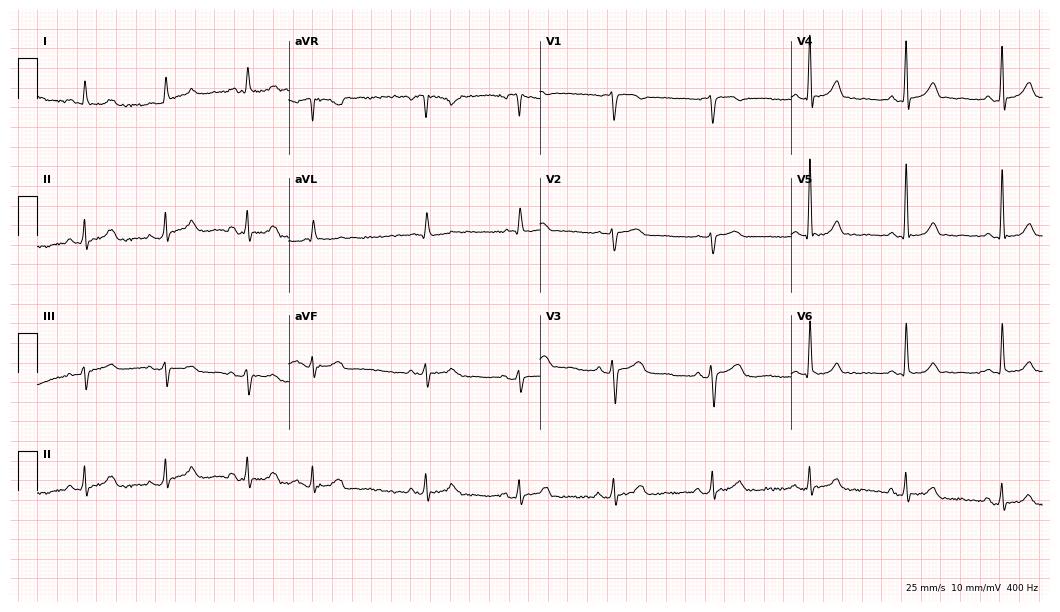
12-lead ECG (10.2-second recording at 400 Hz) from a woman, 76 years old. Screened for six findings — first-degree AV block, right bundle branch block, left bundle branch block, sinus bradycardia, atrial fibrillation, sinus tachycardia — none is recorded. Other findings, if any, are not listed.